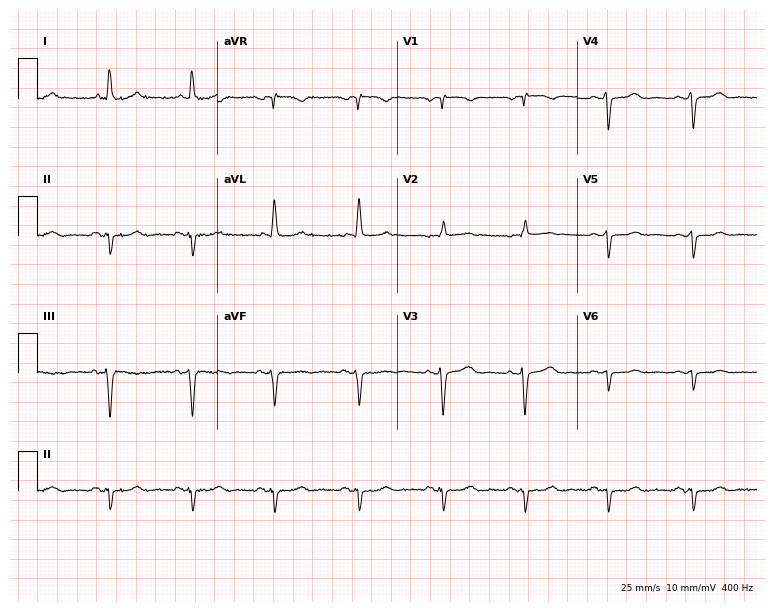
Resting 12-lead electrocardiogram. Patient: a female, 72 years old. None of these six findings is recorded: first-degree AV block, right bundle branch block (RBBB), left bundle branch block (LBBB), sinus bradycardia, atrial fibrillation (AF), sinus tachycardia. Findings outside these six are not listed.